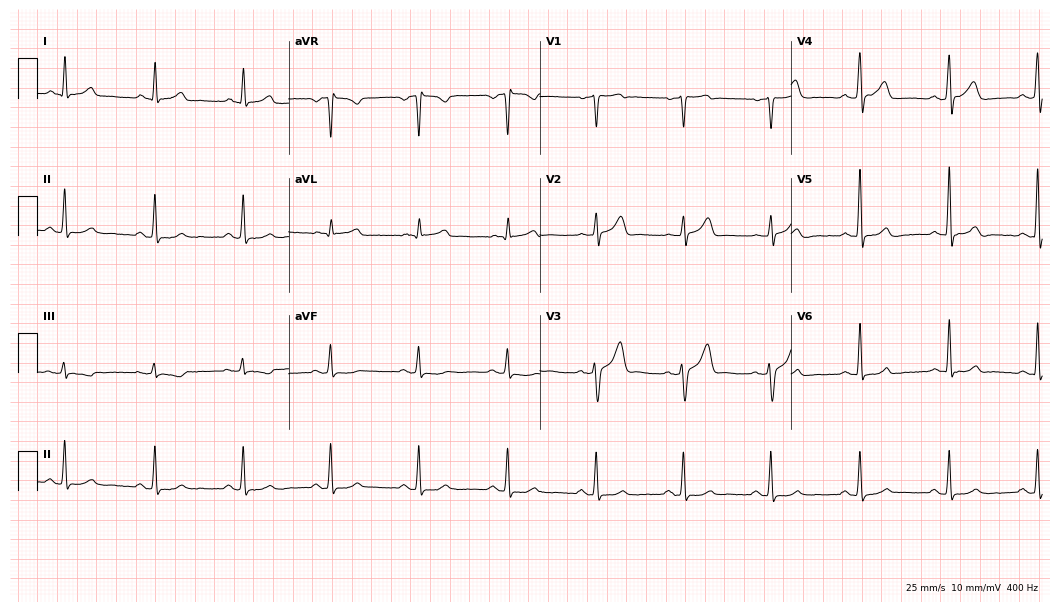
12-lead ECG from a man, 52 years old. Labelled as a normal ECG.